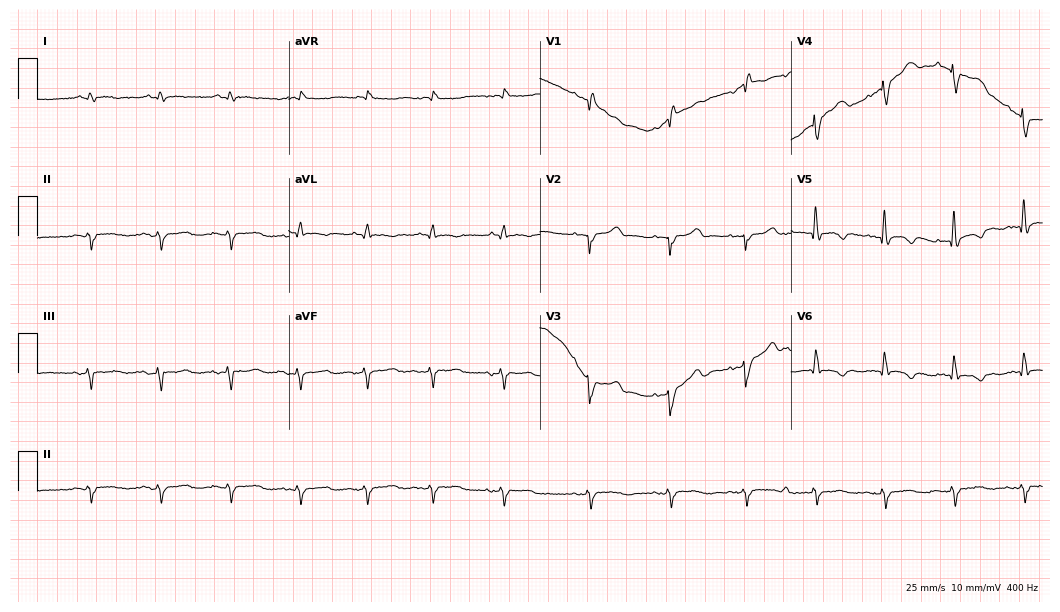
12-lead ECG from a man, 70 years old. Screened for six findings — first-degree AV block, right bundle branch block, left bundle branch block, sinus bradycardia, atrial fibrillation, sinus tachycardia — none is recorded. Findings outside these six are not listed.